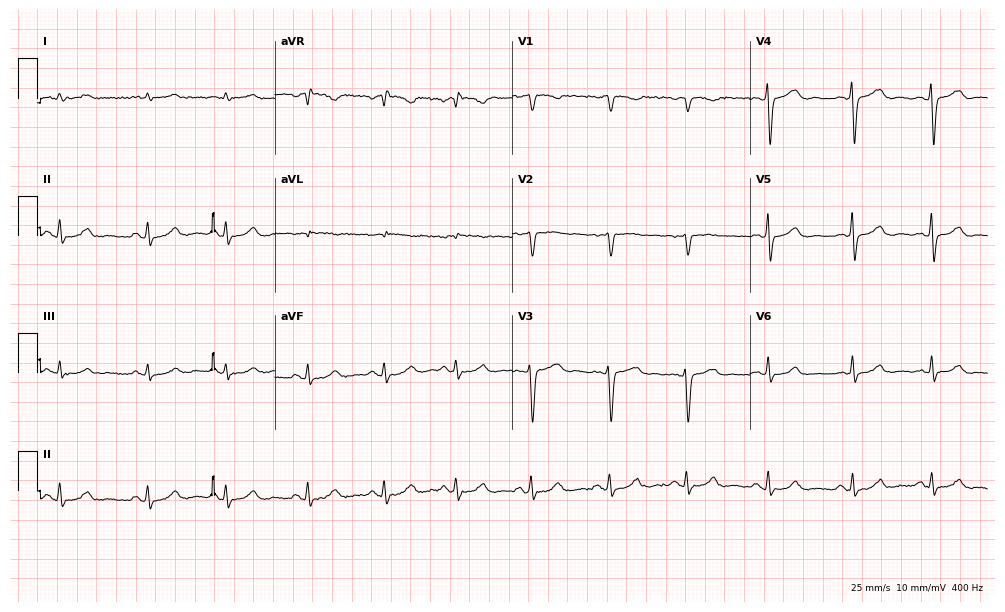
Standard 12-lead ECG recorded from a 29-year-old female. Read as a normal ECG.